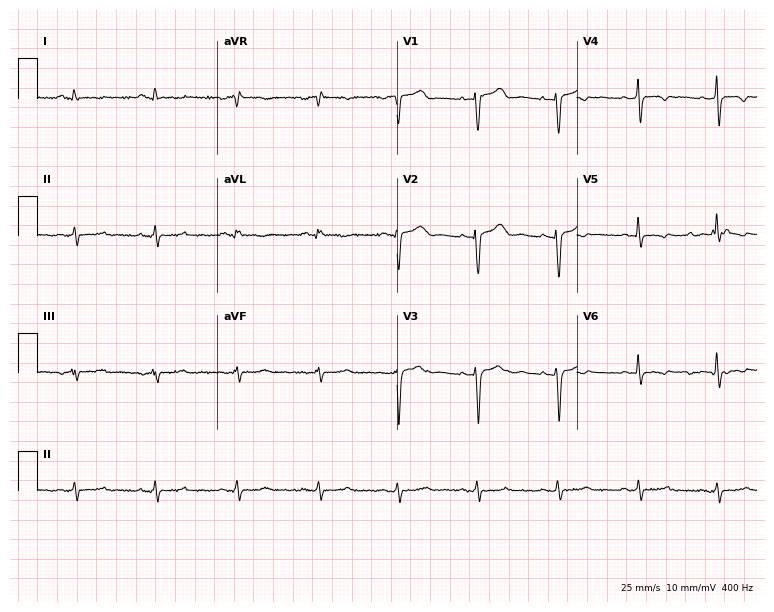
12-lead ECG (7.3-second recording at 400 Hz) from a 35-year-old female. Screened for six findings — first-degree AV block, right bundle branch block, left bundle branch block, sinus bradycardia, atrial fibrillation, sinus tachycardia — none is recorded. Findings outside these six are not listed.